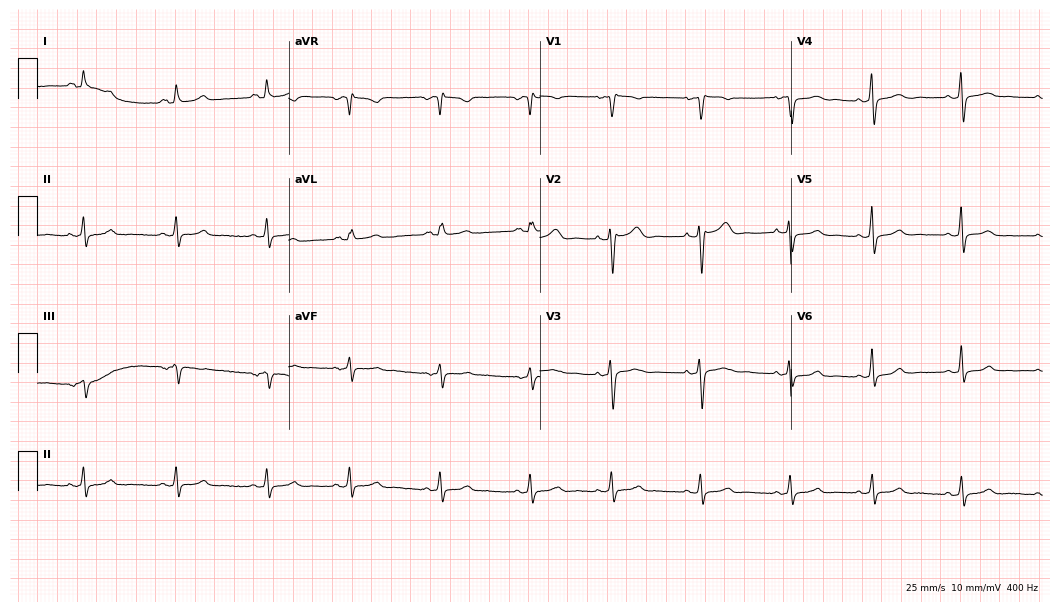
12-lead ECG (10.2-second recording at 400 Hz) from a 38-year-old female patient. Screened for six findings — first-degree AV block, right bundle branch block, left bundle branch block, sinus bradycardia, atrial fibrillation, sinus tachycardia — none is recorded. Other findings, if any, are not listed.